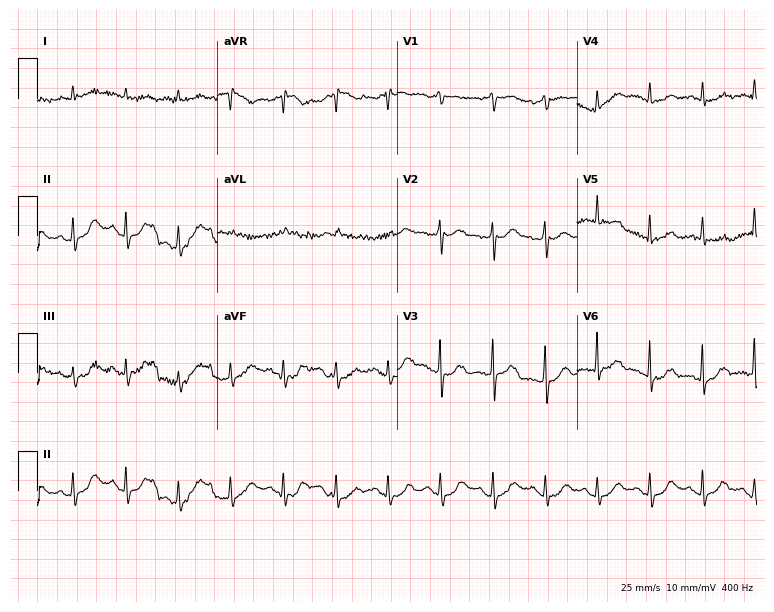
12-lead ECG from a 78-year-old male (7.3-second recording at 400 Hz). No first-degree AV block, right bundle branch block, left bundle branch block, sinus bradycardia, atrial fibrillation or sinus tachycardia recorded for this tracing.